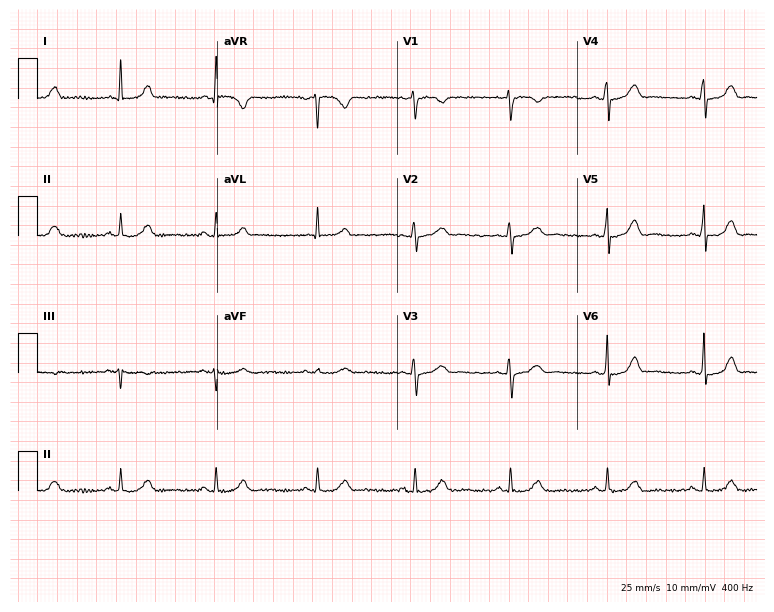
Standard 12-lead ECG recorded from a female, 41 years old. None of these six findings is recorded: first-degree AV block, right bundle branch block, left bundle branch block, sinus bradycardia, atrial fibrillation, sinus tachycardia.